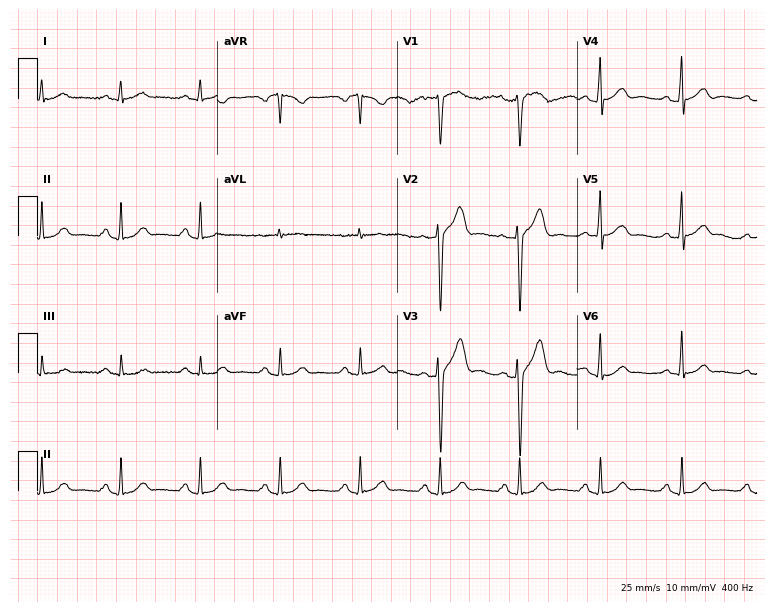
12-lead ECG from a 37-year-old man. Labelled as a normal ECG.